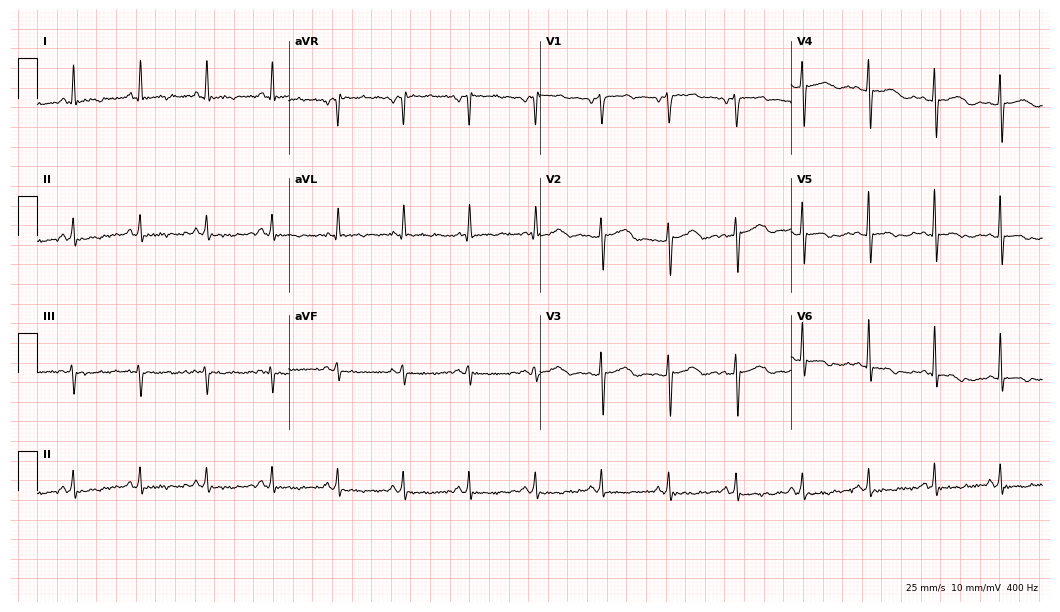
Electrocardiogram, a 54-year-old female. Of the six screened findings (first-degree AV block, right bundle branch block (RBBB), left bundle branch block (LBBB), sinus bradycardia, atrial fibrillation (AF), sinus tachycardia), none is recorded. Other findings, if any, are not listed.